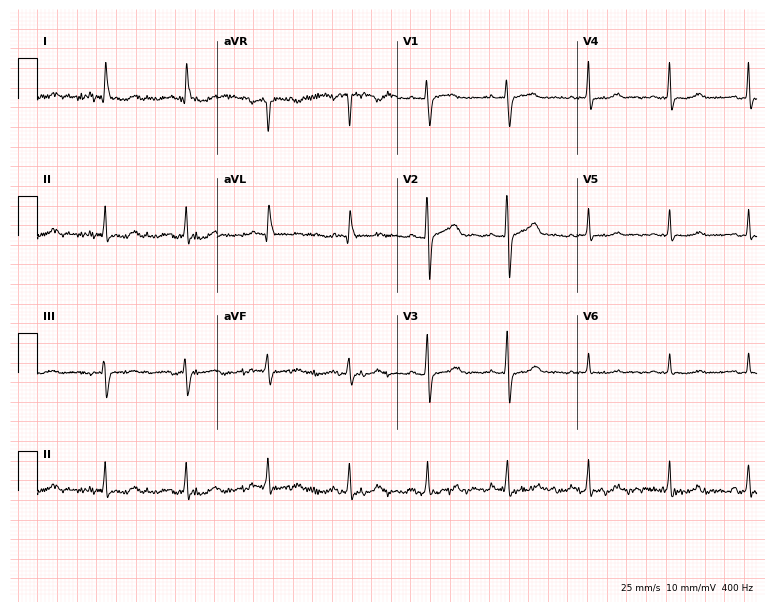
ECG (7.3-second recording at 400 Hz) — a 76-year-old female patient. Labelled as a normal ECG.